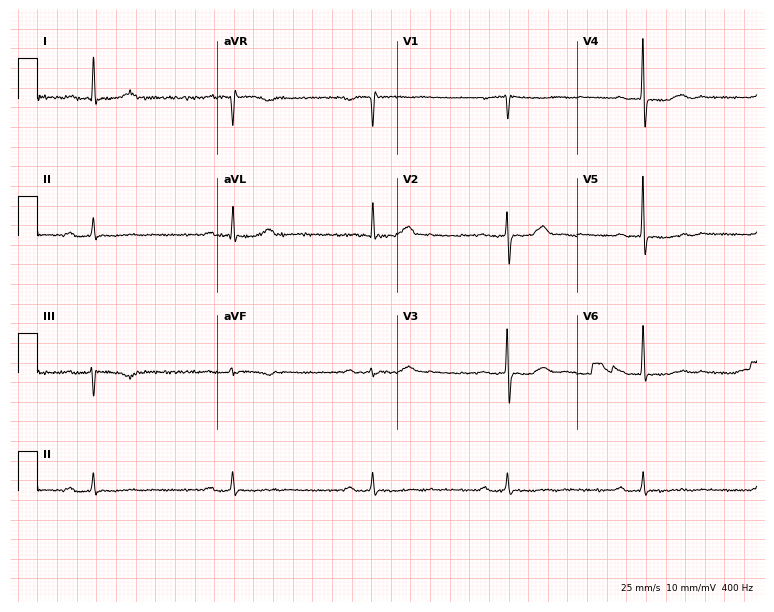
12-lead ECG from a woman, 66 years old (7.3-second recording at 400 Hz). Shows first-degree AV block, sinus bradycardia (a sinus rate of 50 beats per minute or less).